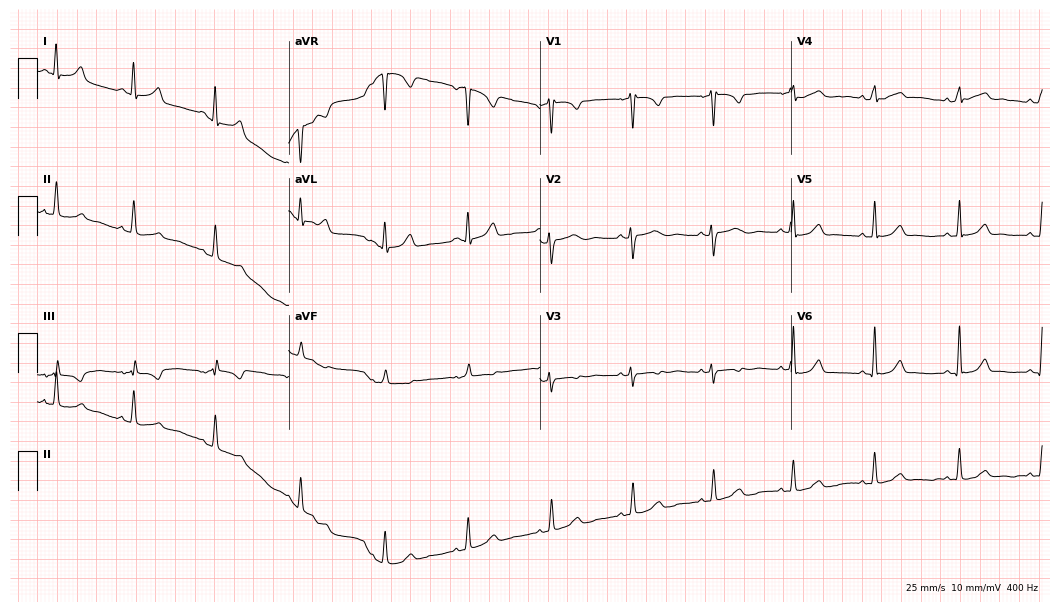
12-lead ECG from a 35-year-old female (10.2-second recording at 400 Hz). No first-degree AV block, right bundle branch block, left bundle branch block, sinus bradycardia, atrial fibrillation or sinus tachycardia recorded for this tracing.